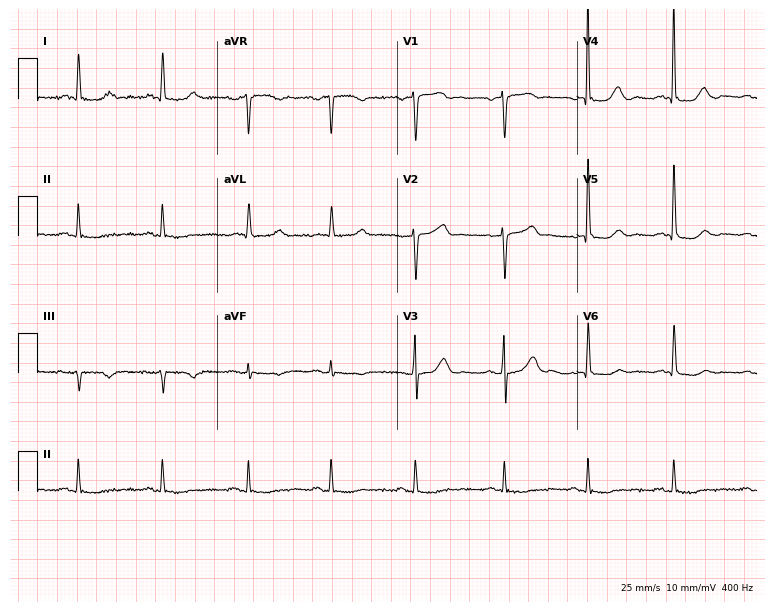
12-lead ECG from a female patient, 78 years old. Screened for six findings — first-degree AV block, right bundle branch block (RBBB), left bundle branch block (LBBB), sinus bradycardia, atrial fibrillation (AF), sinus tachycardia — none is recorded.